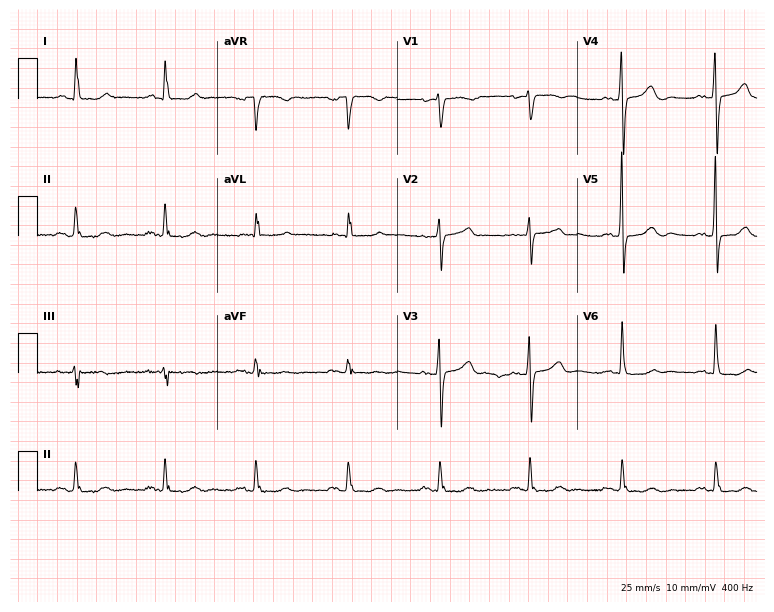
Electrocardiogram, a 77-year-old female. Overall reading on record: normal ECG.